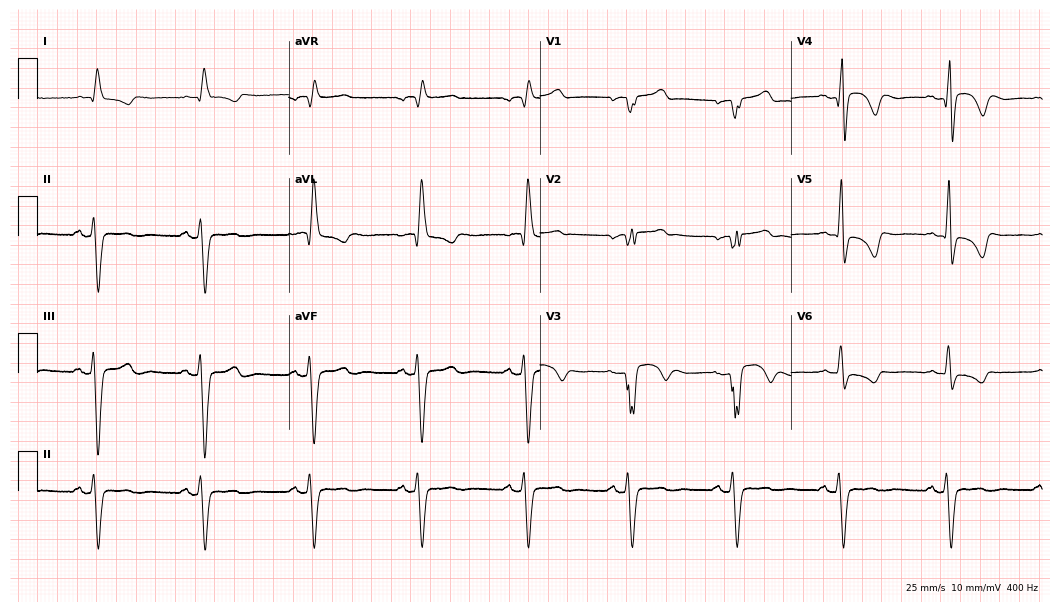
Standard 12-lead ECG recorded from a male, 80 years old. The tracing shows left bundle branch block (LBBB).